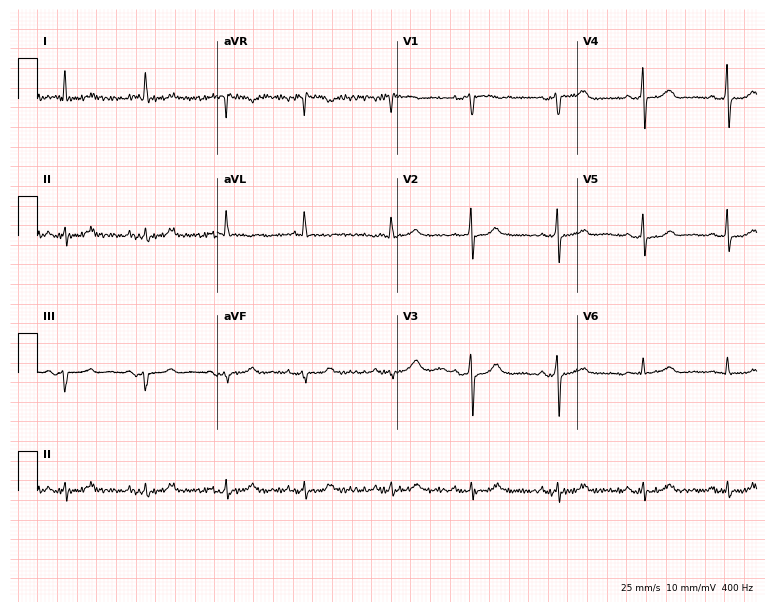
ECG — a male, 76 years old. Labelled as a normal ECG.